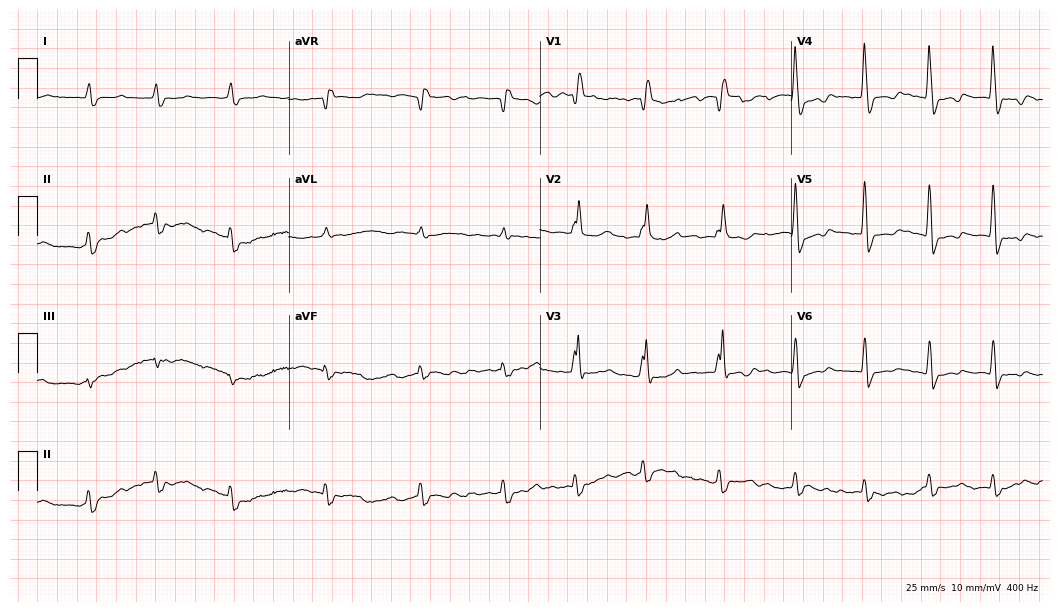
ECG — a 66-year-old woman. Findings include right bundle branch block, atrial fibrillation.